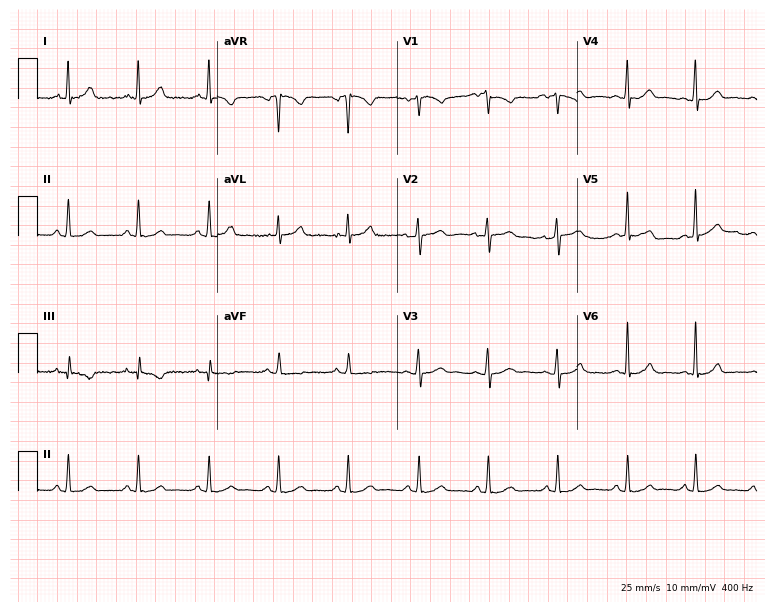
Resting 12-lead electrocardiogram (7.3-second recording at 400 Hz). Patient: a 35-year-old woman. Read as a normal ECG.